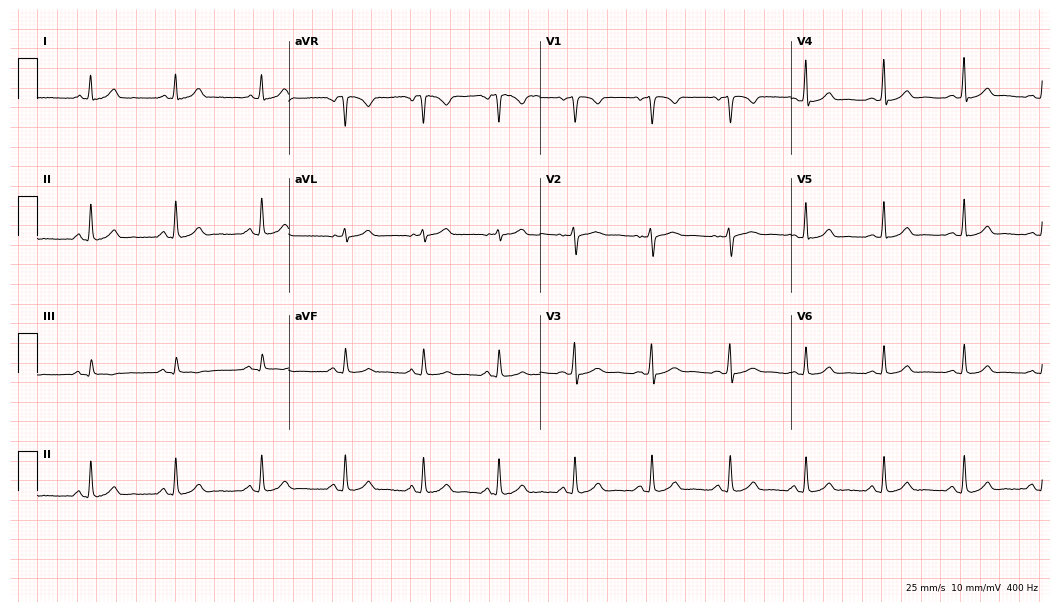
12-lead ECG (10.2-second recording at 400 Hz) from a 23-year-old female patient. Labelled as a normal ECG.